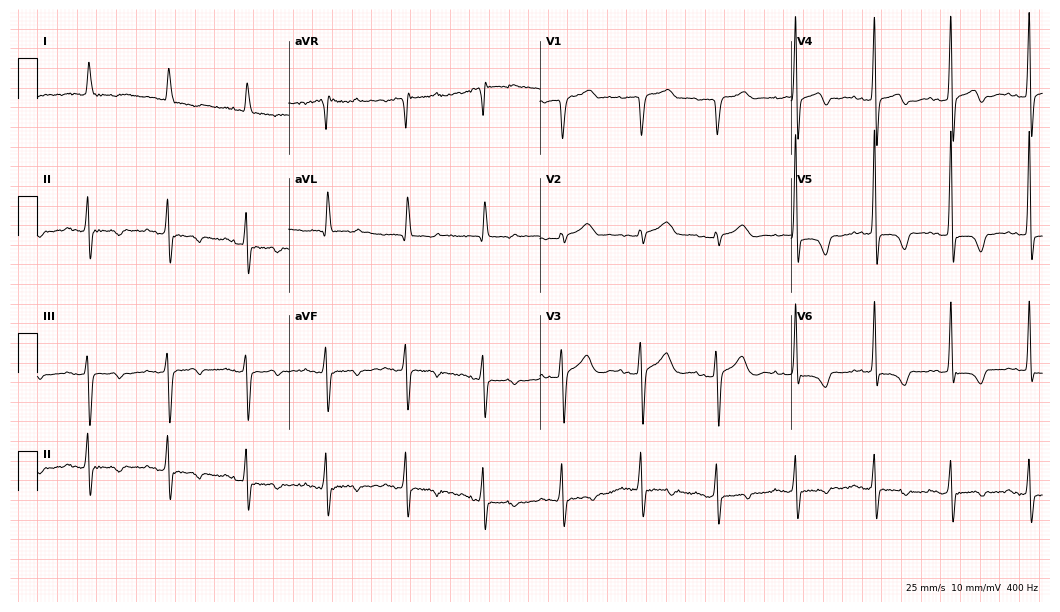
Resting 12-lead electrocardiogram. Patient: a woman, 79 years old. None of these six findings is recorded: first-degree AV block, right bundle branch block, left bundle branch block, sinus bradycardia, atrial fibrillation, sinus tachycardia. Findings outside these six are not listed.